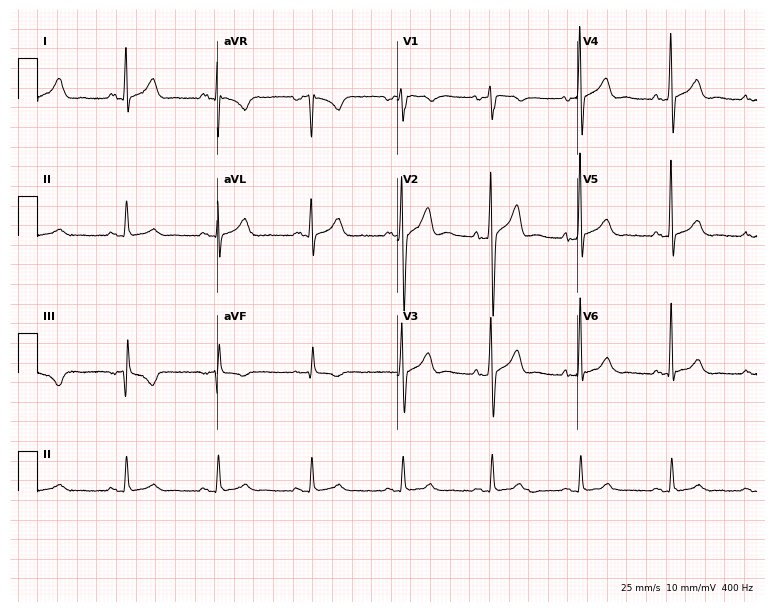
Standard 12-lead ECG recorded from a man, 50 years old (7.3-second recording at 400 Hz). Read as a normal ECG.